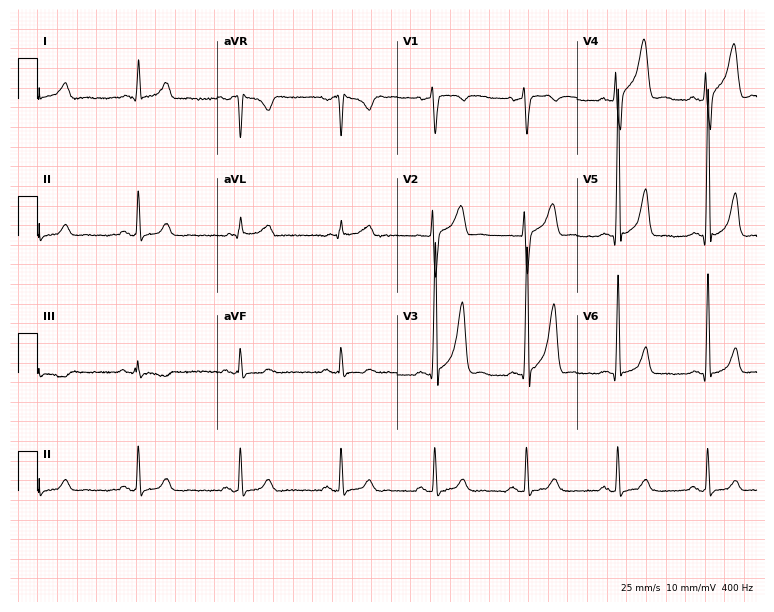
12-lead ECG from a 46-year-old male. Screened for six findings — first-degree AV block, right bundle branch block, left bundle branch block, sinus bradycardia, atrial fibrillation, sinus tachycardia — none is recorded.